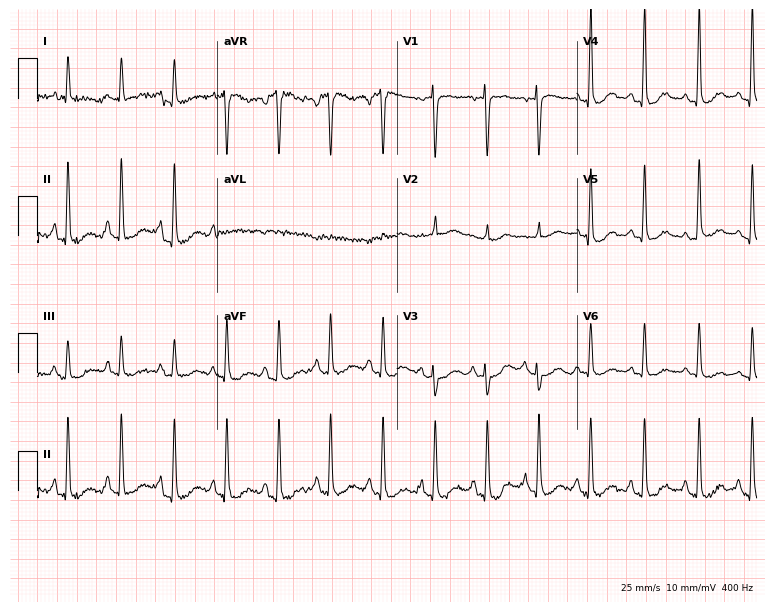
Resting 12-lead electrocardiogram (7.3-second recording at 400 Hz). Patient: a 78-year-old woman. The tracing shows sinus tachycardia (a sinus rate of 100 beats per minute or more).